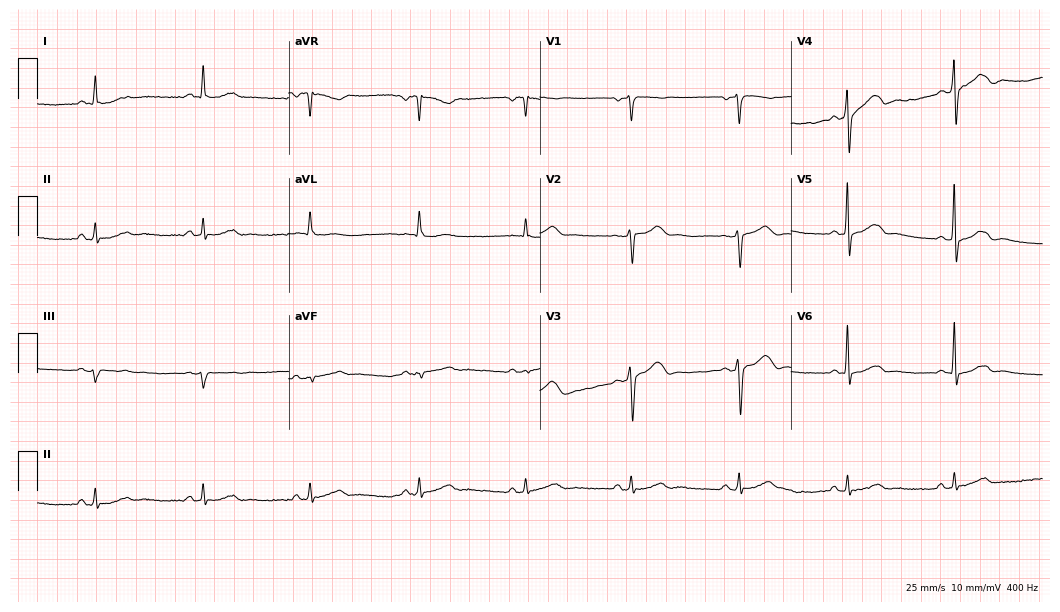
Resting 12-lead electrocardiogram. Patient: a 57-year-old male. None of these six findings is recorded: first-degree AV block, right bundle branch block, left bundle branch block, sinus bradycardia, atrial fibrillation, sinus tachycardia.